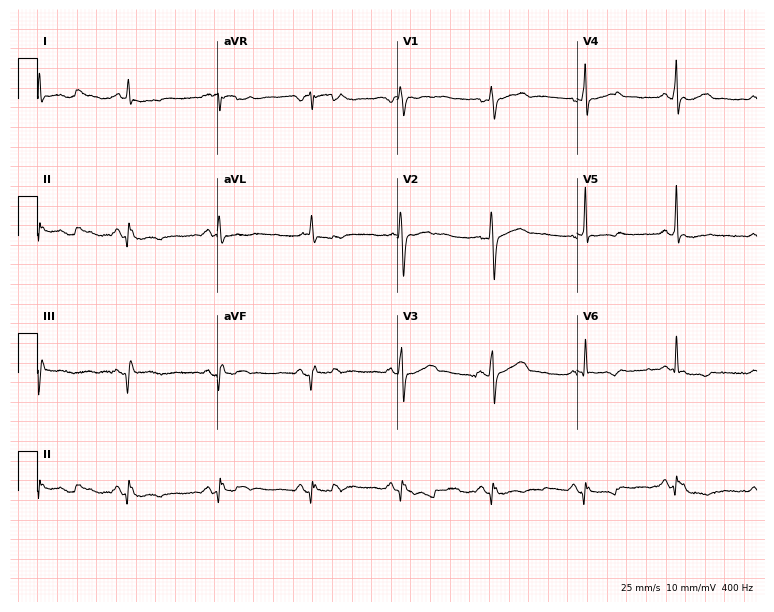
Resting 12-lead electrocardiogram (7.3-second recording at 400 Hz). Patient: a 67-year-old male. None of these six findings is recorded: first-degree AV block, right bundle branch block, left bundle branch block, sinus bradycardia, atrial fibrillation, sinus tachycardia. Other findings, if any, are not listed.